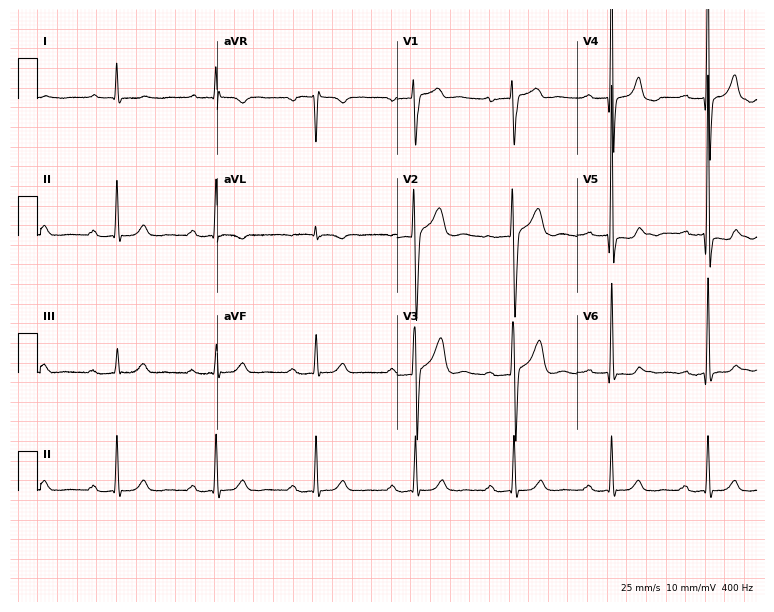
12-lead ECG from a male patient, 66 years old. Labelled as a normal ECG.